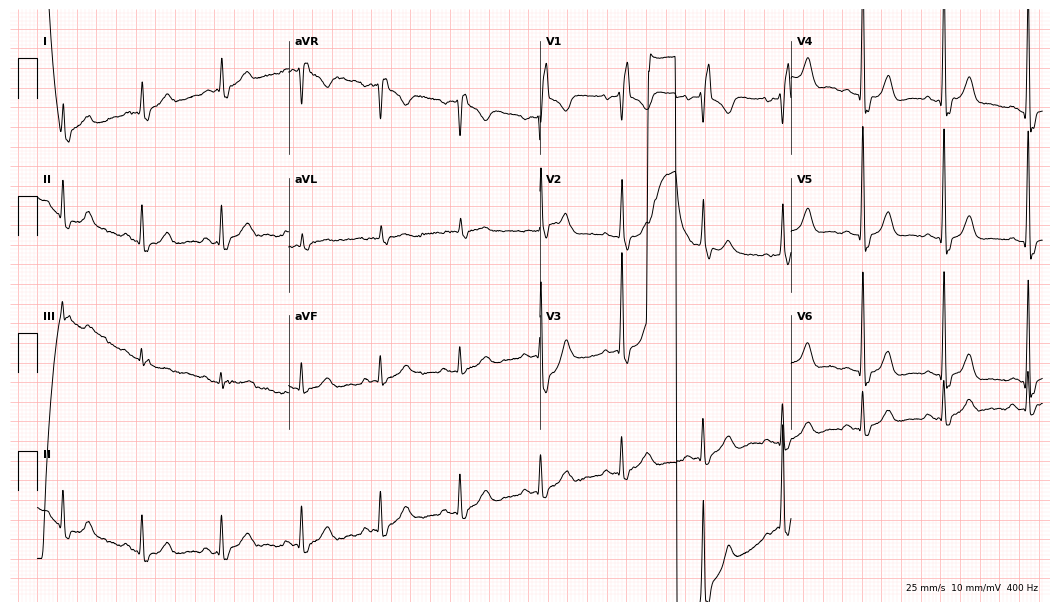
12-lead ECG (10.2-second recording at 400 Hz) from a male, 82 years old. Screened for six findings — first-degree AV block, right bundle branch block, left bundle branch block, sinus bradycardia, atrial fibrillation, sinus tachycardia — none is recorded. Findings outside these six are not listed.